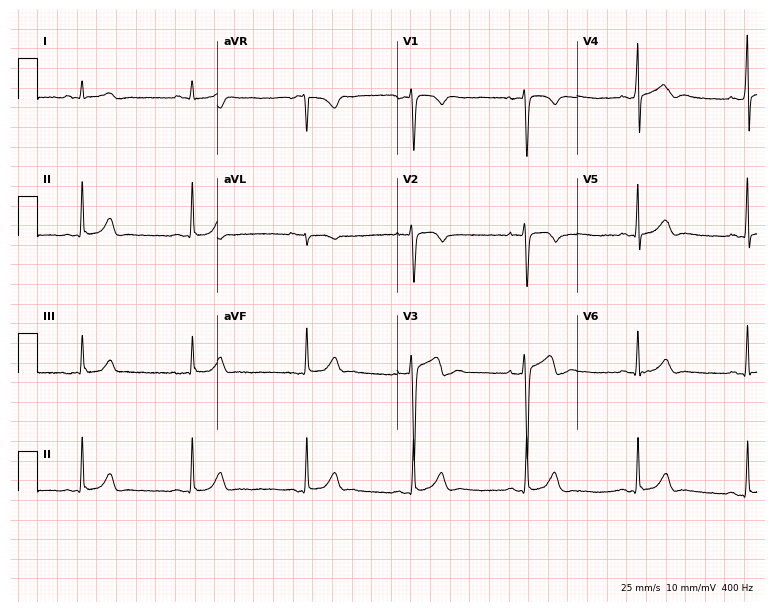
12-lead ECG from a male, 22 years old. Recorded interpretation: within normal limits.